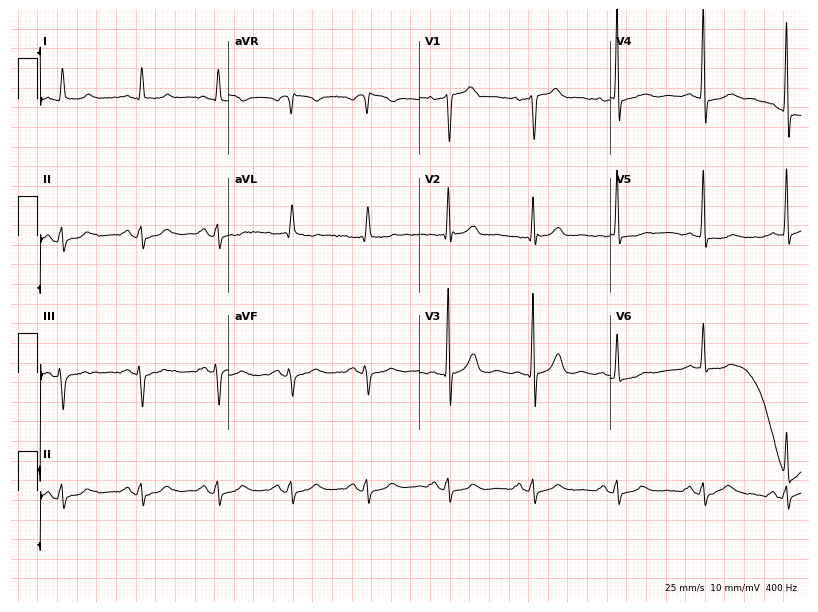
Standard 12-lead ECG recorded from a 69-year-old male (7.8-second recording at 400 Hz). None of these six findings is recorded: first-degree AV block, right bundle branch block, left bundle branch block, sinus bradycardia, atrial fibrillation, sinus tachycardia.